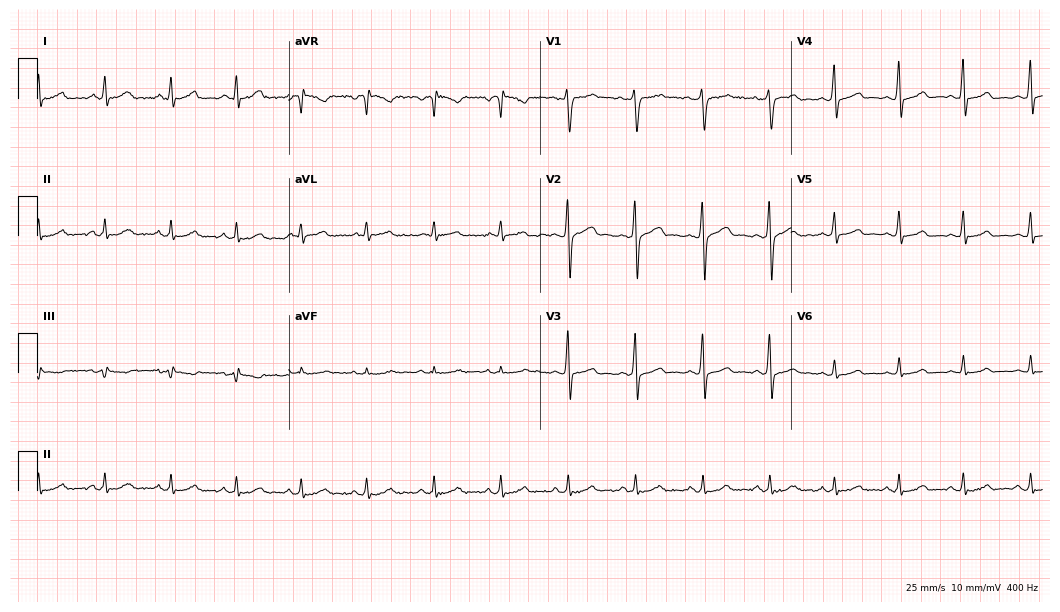
12-lead ECG from a 34-year-old male. Recorded interpretation: within normal limits.